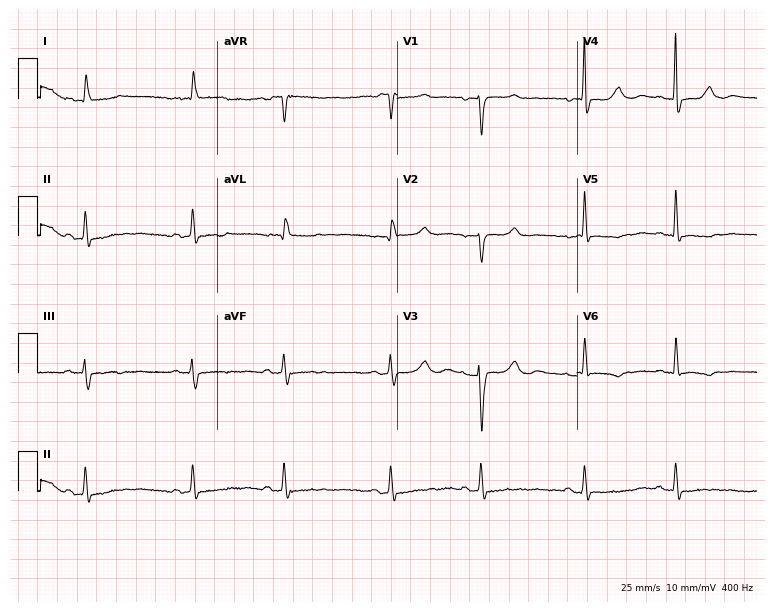
Electrocardiogram (7.3-second recording at 400 Hz), a female patient, 72 years old. Of the six screened findings (first-degree AV block, right bundle branch block, left bundle branch block, sinus bradycardia, atrial fibrillation, sinus tachycardia), none is recorded. Findings outside these six are not listed.